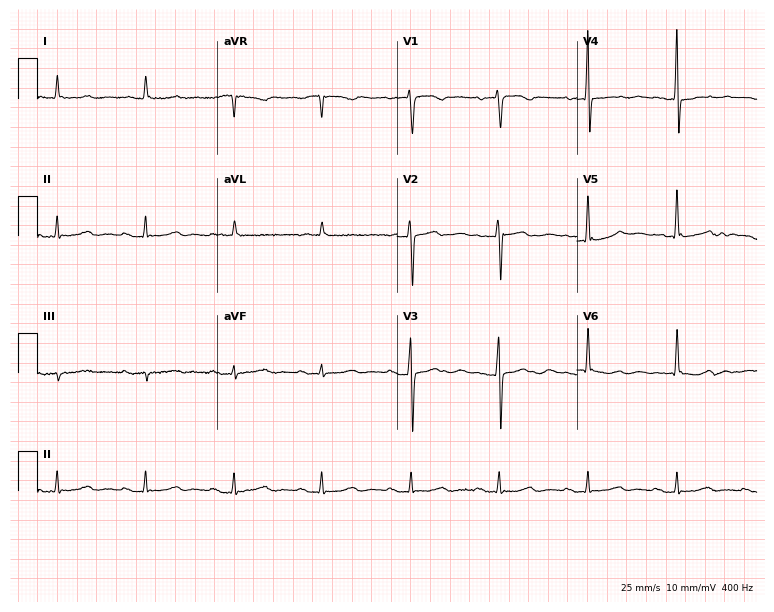
Electrocardiogram, a 76-year-old female patient. Of the six screened findings (first-degree AV block, right bundle branch block (RBBB), left bundle branch block (LBBB), sinus bradycardia, atrial fibrillation (AF), sinus tachycardia), none is recorded. Other findings, if any, are not listed.